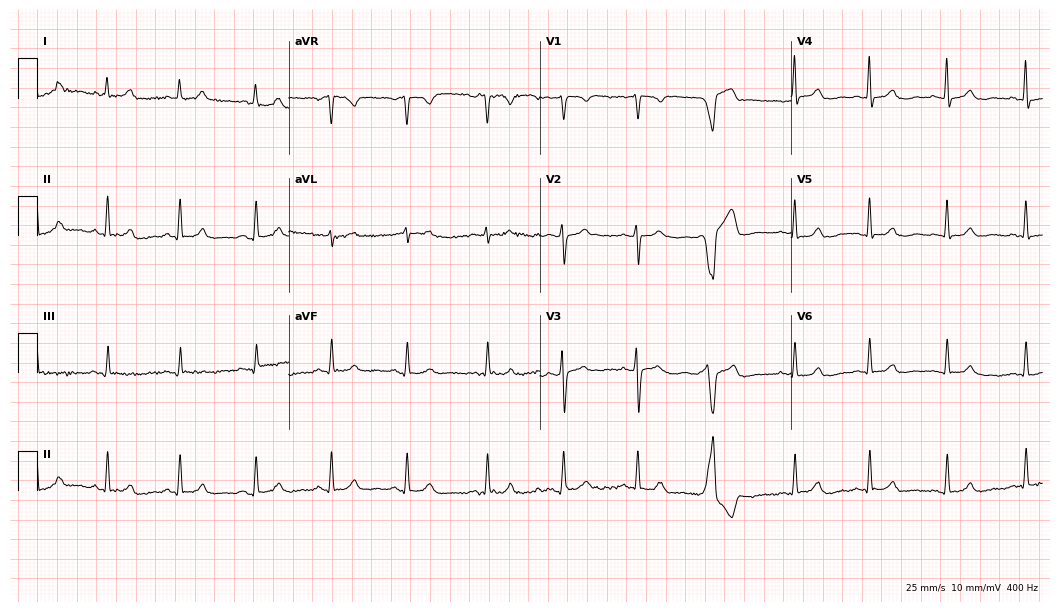
ECG — a female, 50 years old. Labelled as a normal ECG.